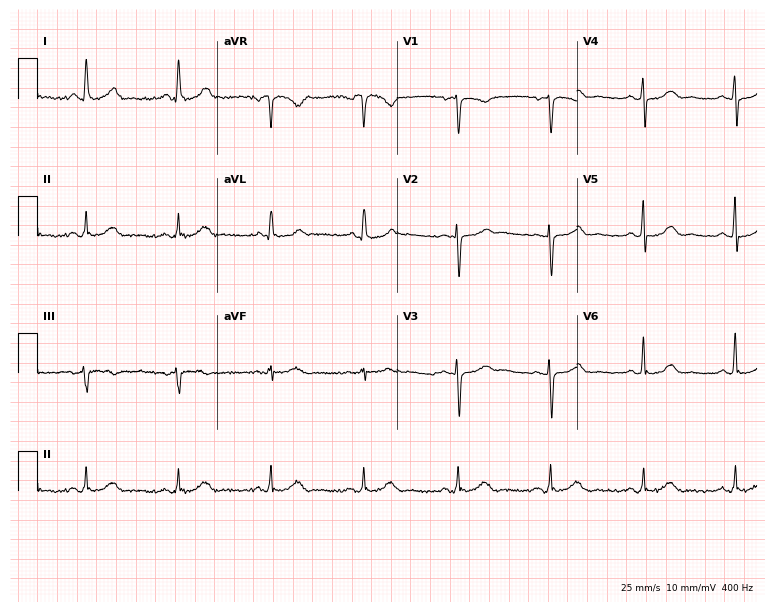
12-lead ECG from a female patient, 68 years old. Labelled as a normal ECG.